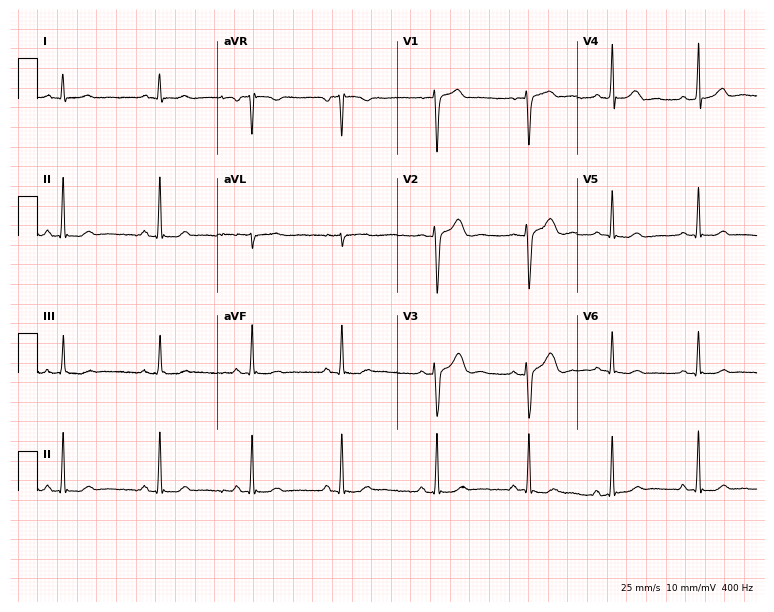
Resting 12-lead electrocardiogram (7.3-second recording at 400 Hz). Patient: a 19-year-old woman. Read as a normal ECG.